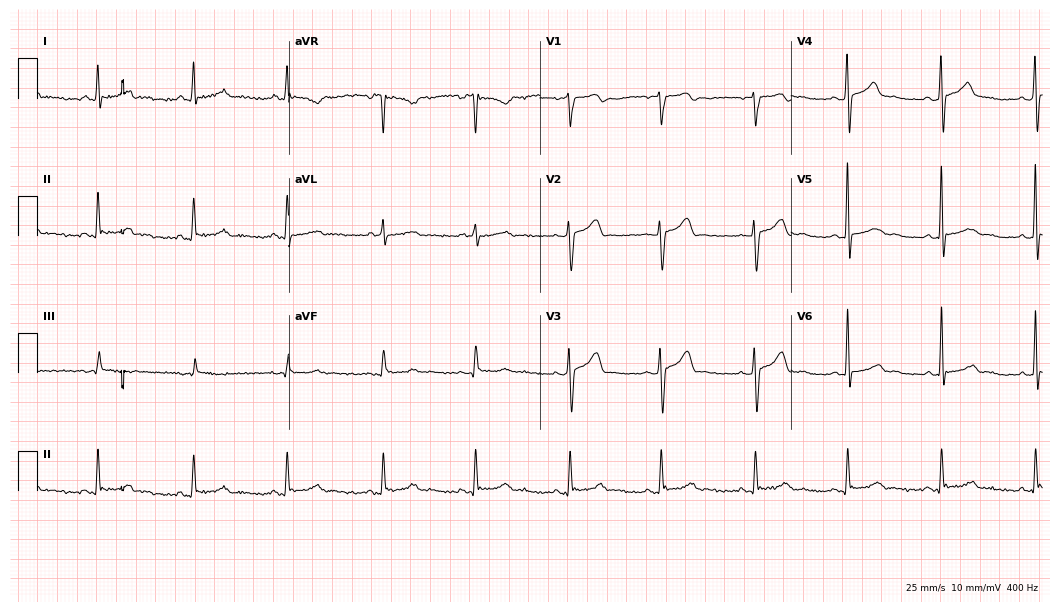
Standard 12-lead ECG recorded from a woman, 50 years old. Read as a normal ECG.